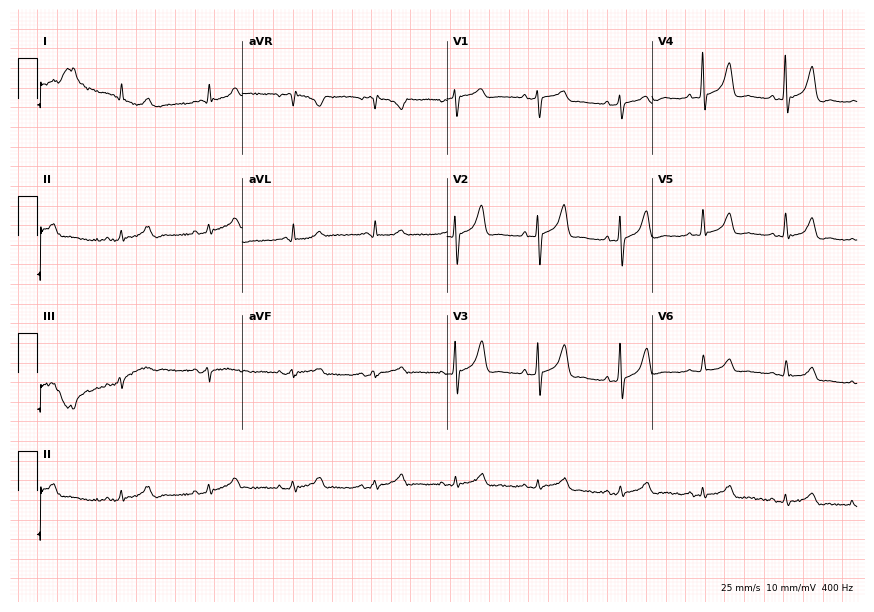
Resting 12-lead electrocardiogram. Patient: an 82-year-old female. Read as a normal ECG.